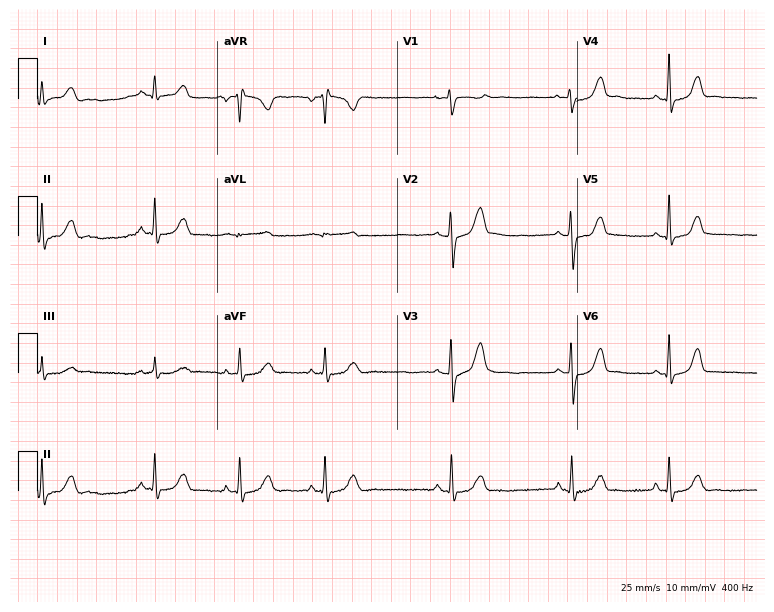
ECG (7.3-second recording at 400 Hz) — a 23-year-old female patient. Screened for six findings — first-degree AV block, right bundle branch block, left bundle branch block, sinus bradycardia, atrial fibrillation, sinus tachycardia — none is recorded.